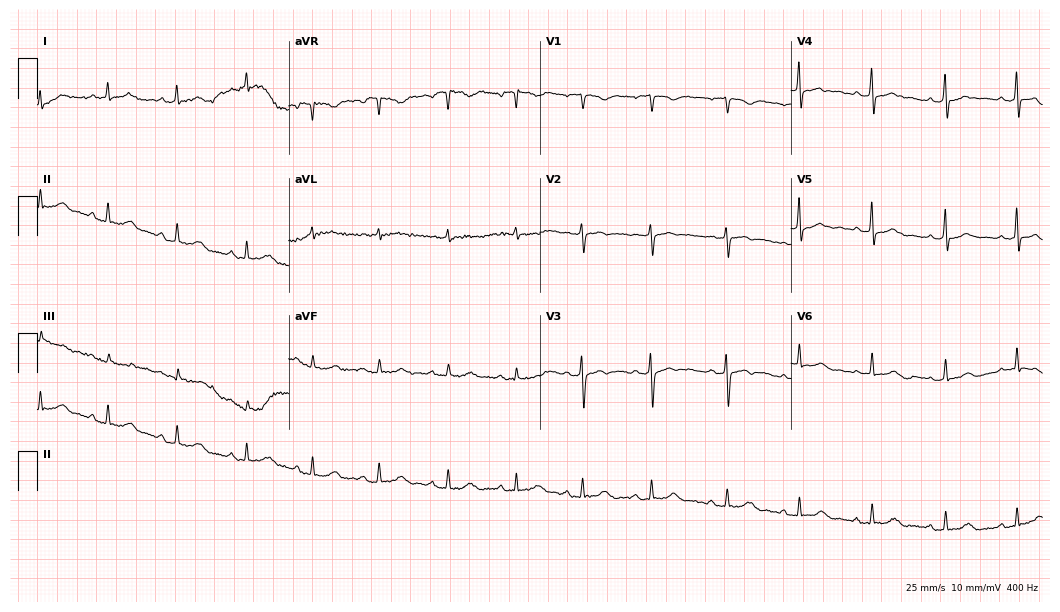
Resting 12-lead electrocardiogram (10.2-second recording at 400 Hz). Patient: a woman, 50 years old. None of these six findings is recorded: first-degree AV block, right bundle branch block, left bundle branch block, sinus bradycardia, atrial fibrillation, sinus tachycardia. Findings outside these six are not listed.